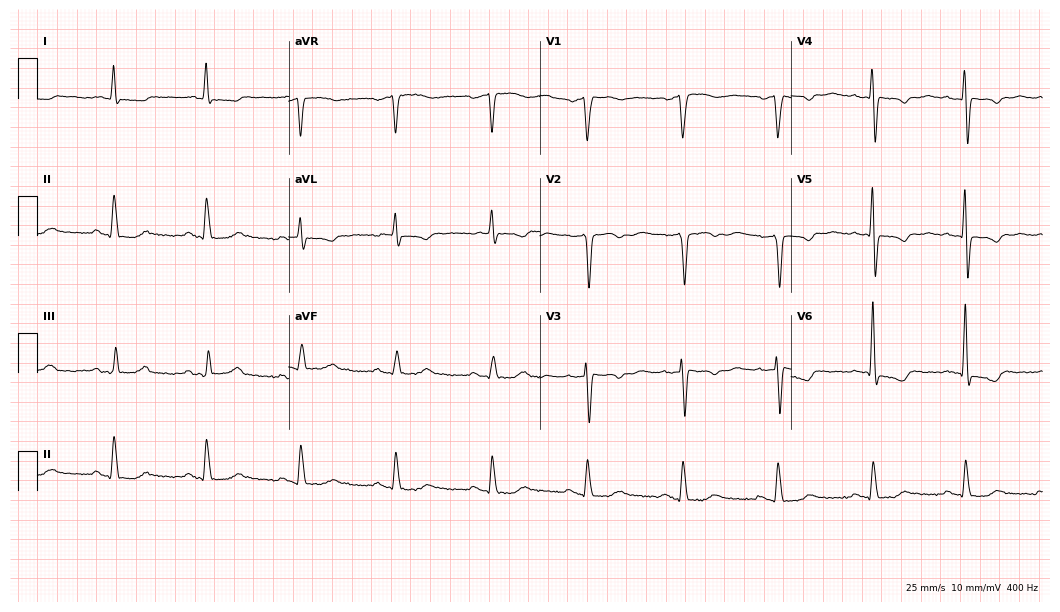
12-lead ECG (10.2-second recording at 400 Hz) from an 85-year-old male patient. Screened for six findings — first-degree AV block, right bundle branch block (RBBB), left bundle branch block (LBBB), sinus bradycardia, atrial fibrillation (AF), sinus tachycardia — none is recorded.